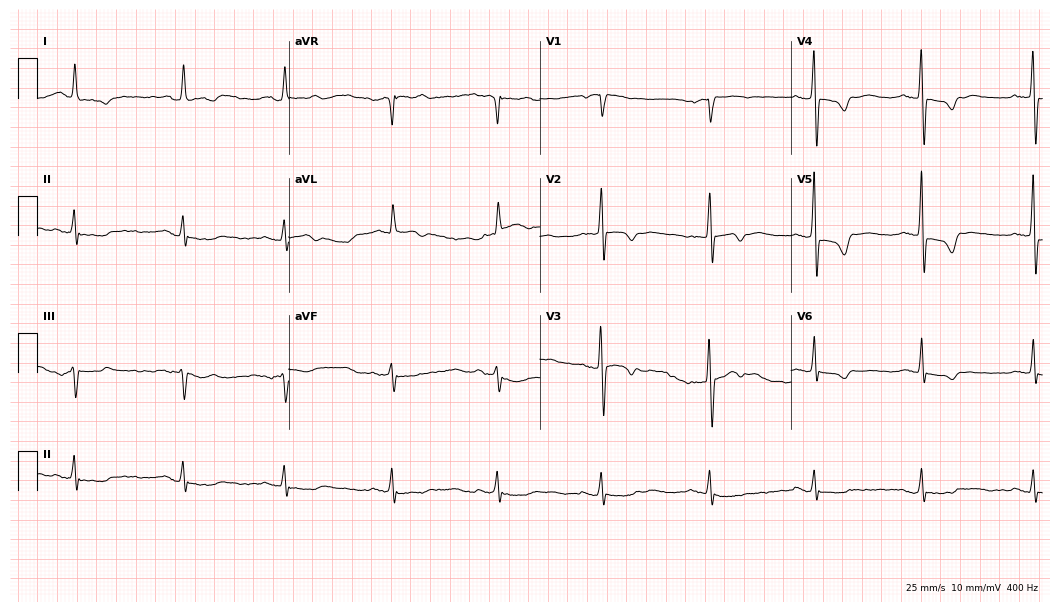
12-lead ECG from a female, 75 years old (10.2-second recording at 400 Hz). No first-degree AV block, right bundle branch block, left bundle branch block, sinus bradycardia, atrial fibrillation or sinus tachycardia recorded for this tracing. Findings outside these six are not listed.